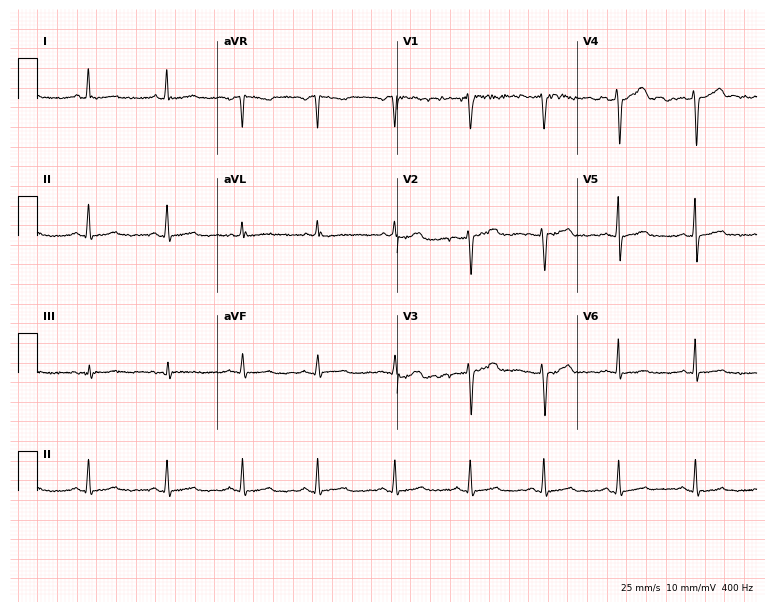
ECG — a 36-year-old woman. Screened for six findings — first-degree AV block, right bundle branch block (RBBB), left bundle branch block (LBBB), sinus bradycardia, atrial fibrillation (AF), sinus tachycardia — none is recorded.